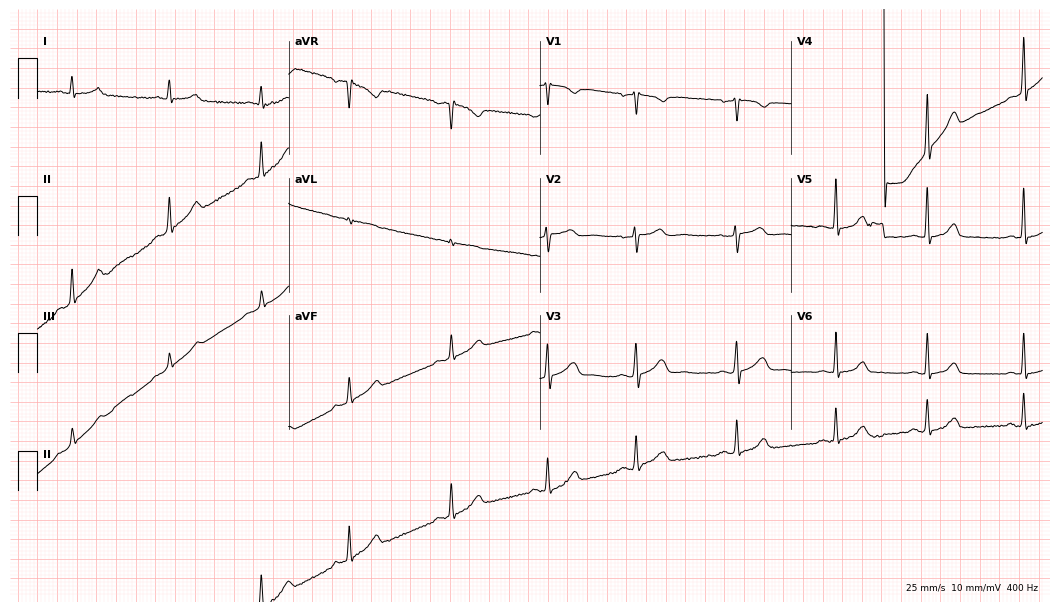
Resting 12-lead electrocardiogram. Patient: a woman, 21 years old. None of these six findings is recorded: first-degree AV block, right bundle branch block, left bundle branch block, sinus bradycardia, atrial fibrillation, sinus tachycardia. Findings outside these six are not listed.